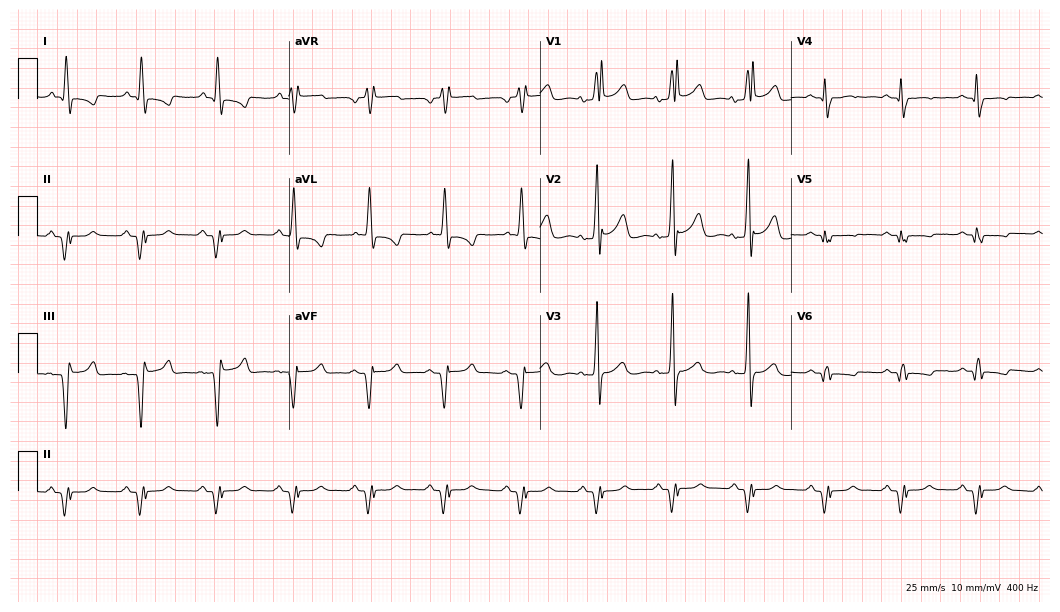
12-lead ECG from a male patient, 48 years old (10.2-second recording at 400 Hz). Shows right bundle branch block.